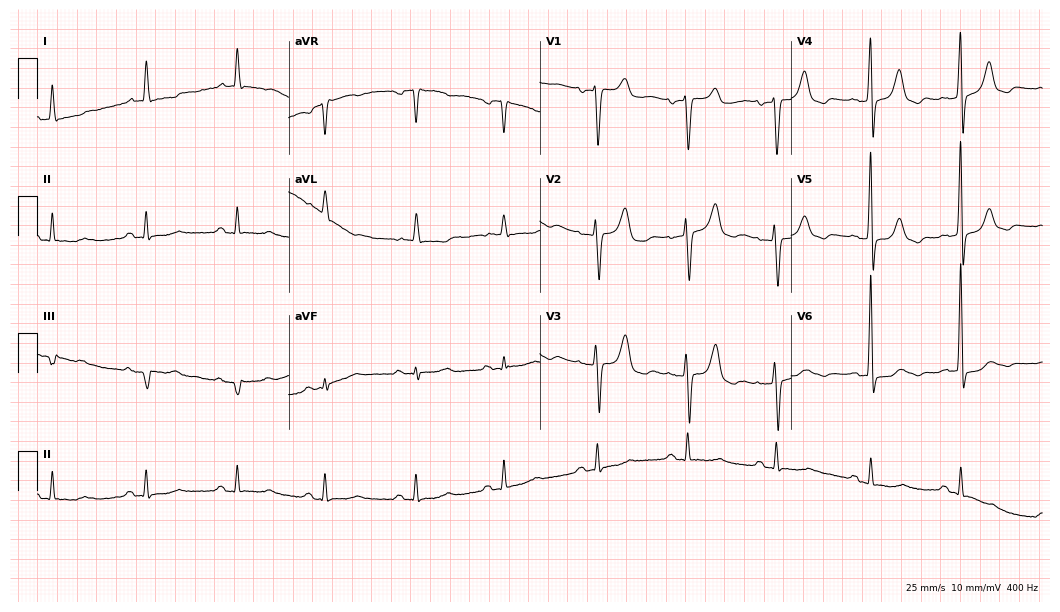
Electrocardiogram (10.2-second recording at 400 Hz), an 80-year-old female. Of the six screened findings (first-degree AV block, right bundle branch block, left bundle branch block, sinus bradycardia, atrial fibrillation, sinus tachycardia), none is recorded. Only these six findings were labelled.